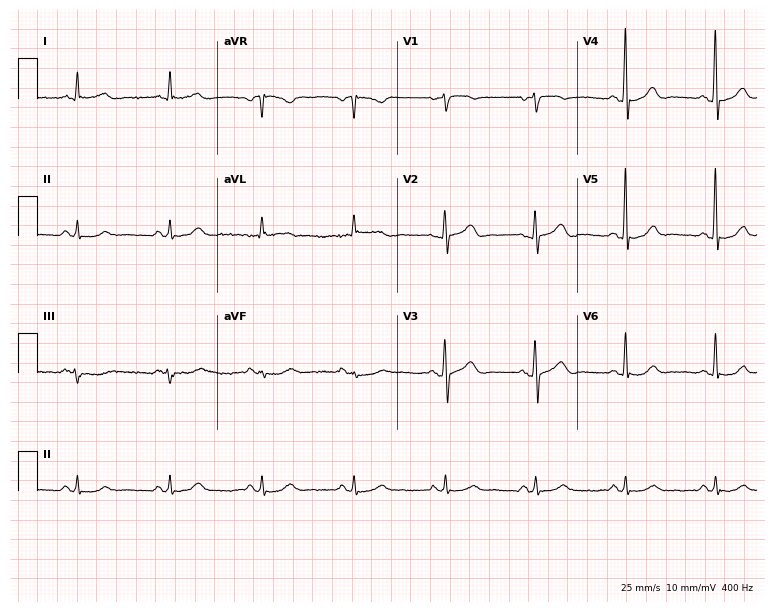
ECG (7.3-second recording at 400 Hz) — a 62-year-old man. Labelled as a normal ECG.